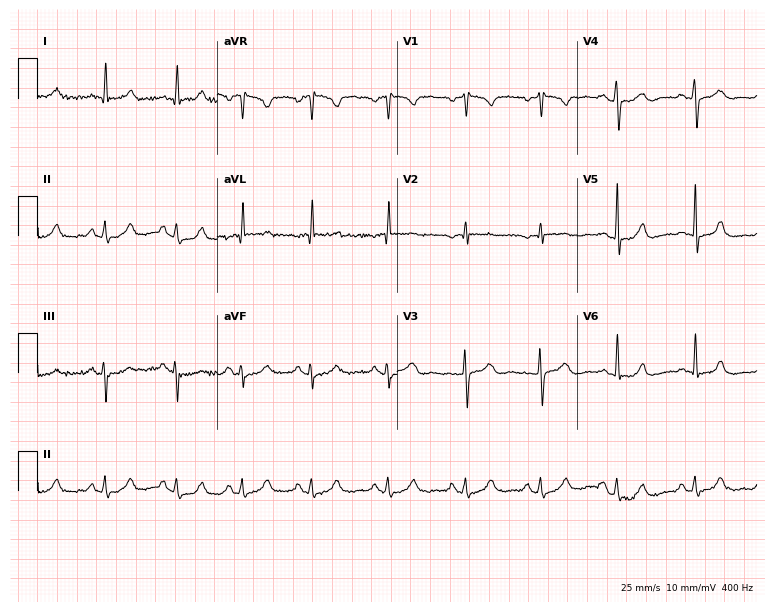
12-lead ECG (7.3-second recording at 400 Hz) from a 45-year-old female patient. Screened for six findings — first-degree AV block, right bundle branch block, left bundle branch block, sinus bradycardia, atrial fibrillation, sinus tachycardia — none is recorded. Other findings, if any, are not listed.